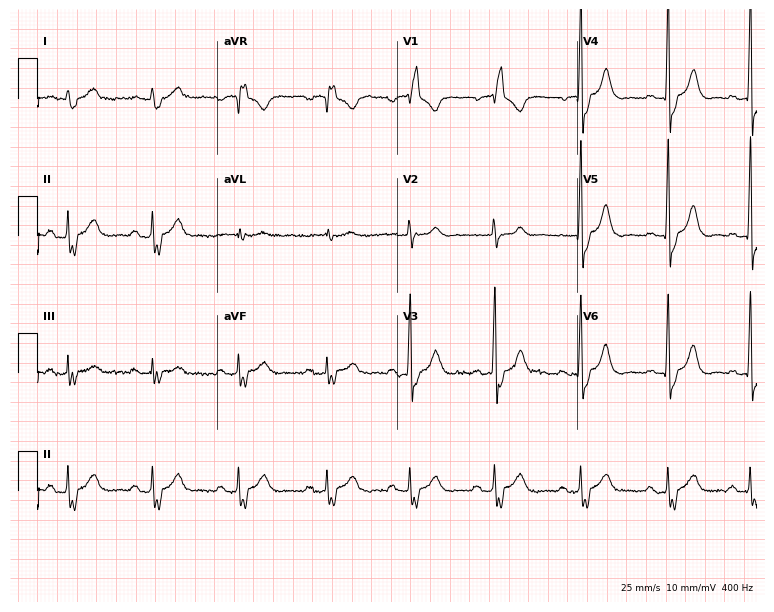
12-lead ECG from a 60-year-old male patient. Shows right bundle branch block.